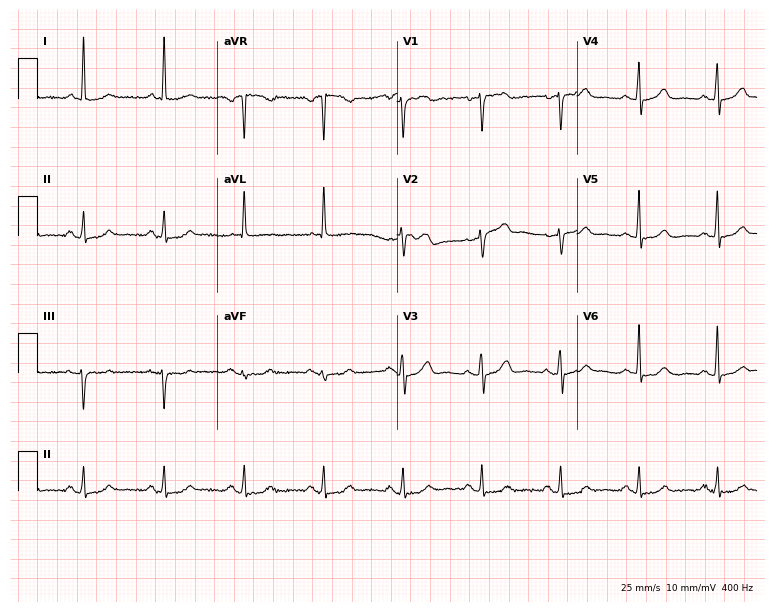
12-lead ECG from a female, 79 years old. Labelled as a normal ECG.